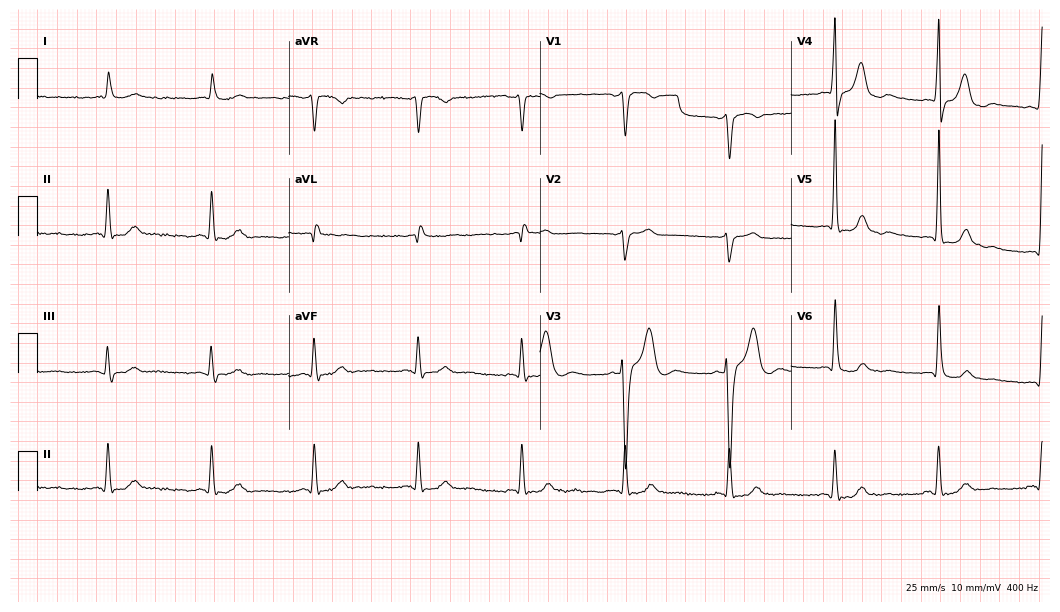
12-lead ECG (10.2-second recording at 400 Hz) from a man, 76 years old. Screened for six findings — first-degree AV block, right bundle branch block (RBBB), left bundle branch block (LBBB), sinus bradycardia, atrial fibrillation (AF), sinus tachycardia — none is recorded. Other findings, if any, are not listed.